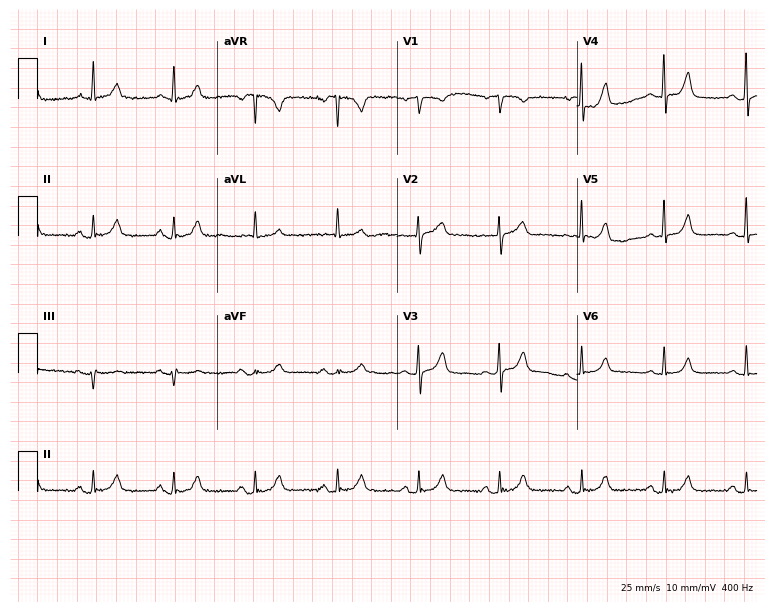
Resting 12-lead electrocardiogram. Patient: a female, 69 years old. Read as a normal ECG.